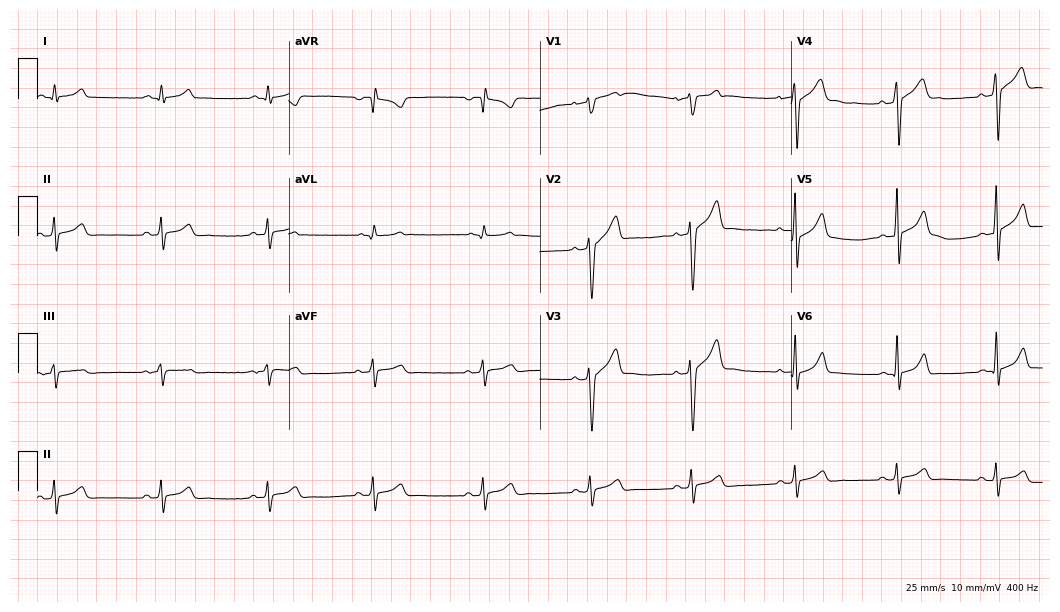
12-lead ECG from a man, 27 years old (10.2-second recording at 400 Hz). Recorded interpretation: within normal limits.